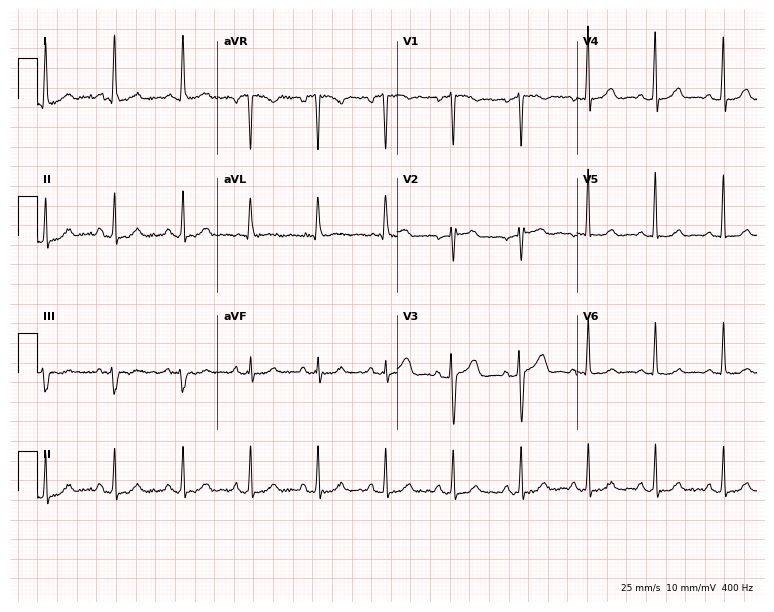
12-lead ECG from a woman, 65 years old. No first-degree AV block, right bundle branch block (RBBB), left bundle branch block (LBBB), sinus bradycardia, atrial fibrillation (AF) or sinus tachycardia recorded for this tracing. Only these six findings were labelled.